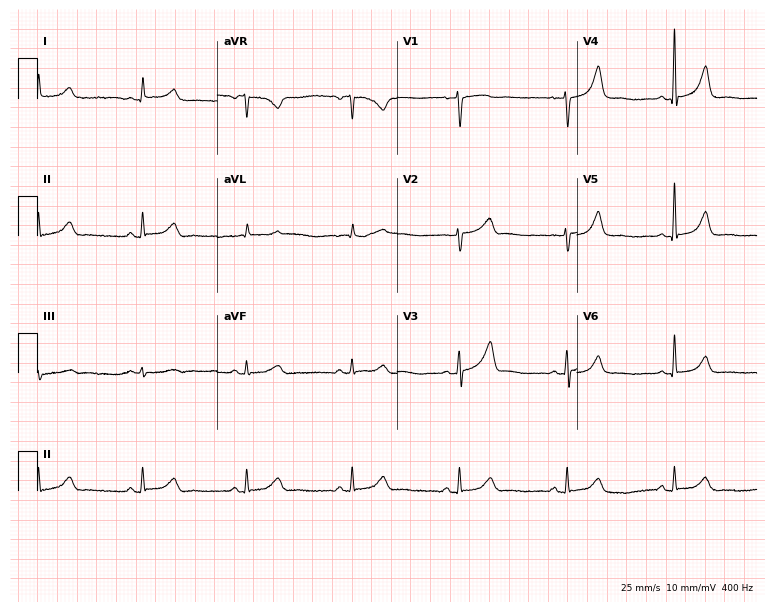
ECG (7.3-second recording at 400 Hz) — a female, 45 years old. Labelled as a normal ECG.